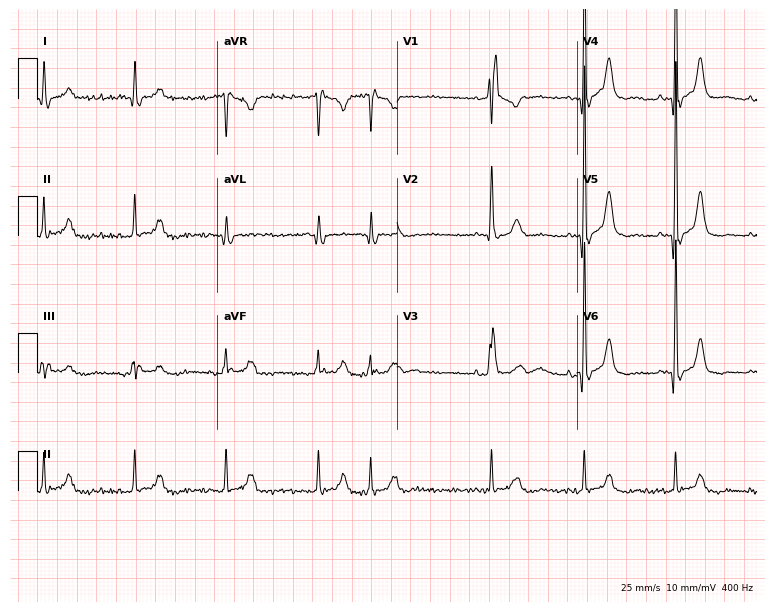
Electrocardiogram, a man, 84 years old. Of the six screened findings (first-degree AV block, right bundle branch block (RBBB), left bundle branch block (LBBB), sinus bradycardia, atrial fibrillation (AF), sinus tachycardia), none is recorded. Findings outside these six are not listed.